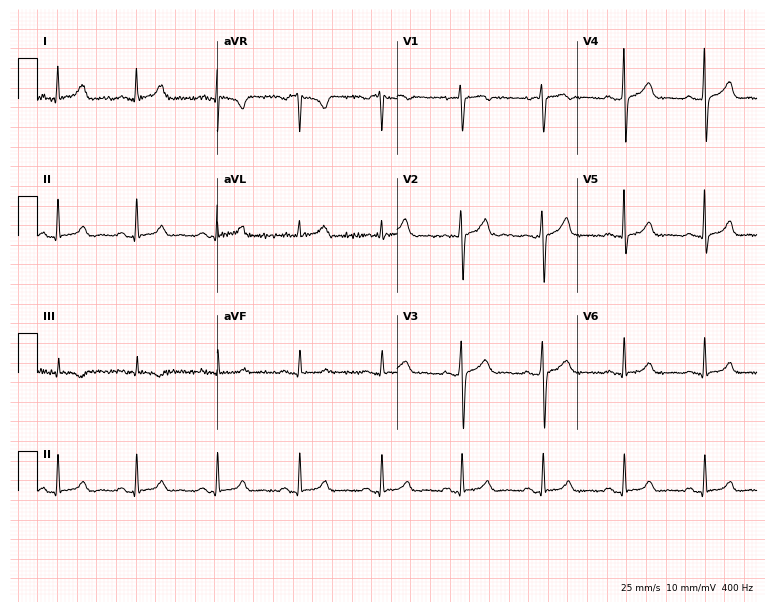
Electrocardiogram (7.3-second recording at 400 Hz), a woman, 31 years old. Overall reading on record: normal ECG.